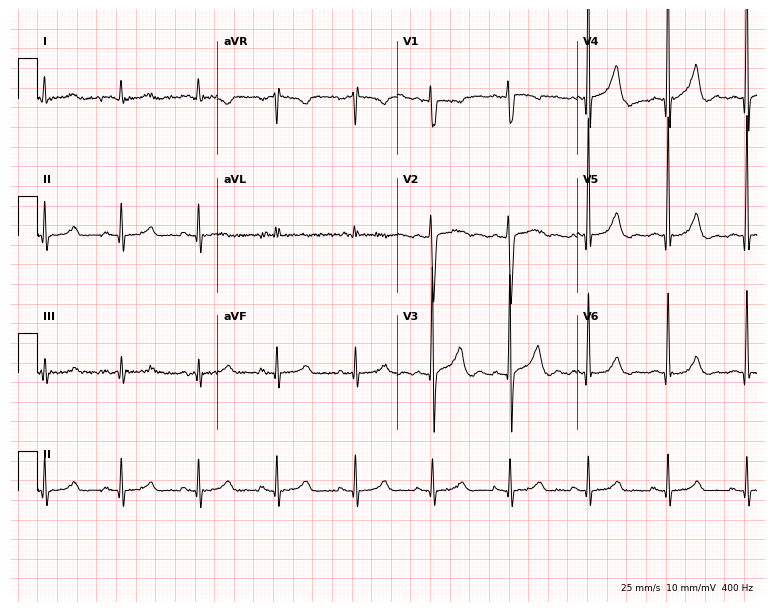
Resting 12-lead electrocardiogram. Patient: a 45-year-old male. None of these six findings is recorded: first-degree AV block, right bundle branch block, left bundle branch block, sinus bradycardia, atrial fibrillation, sinus tachycardia.